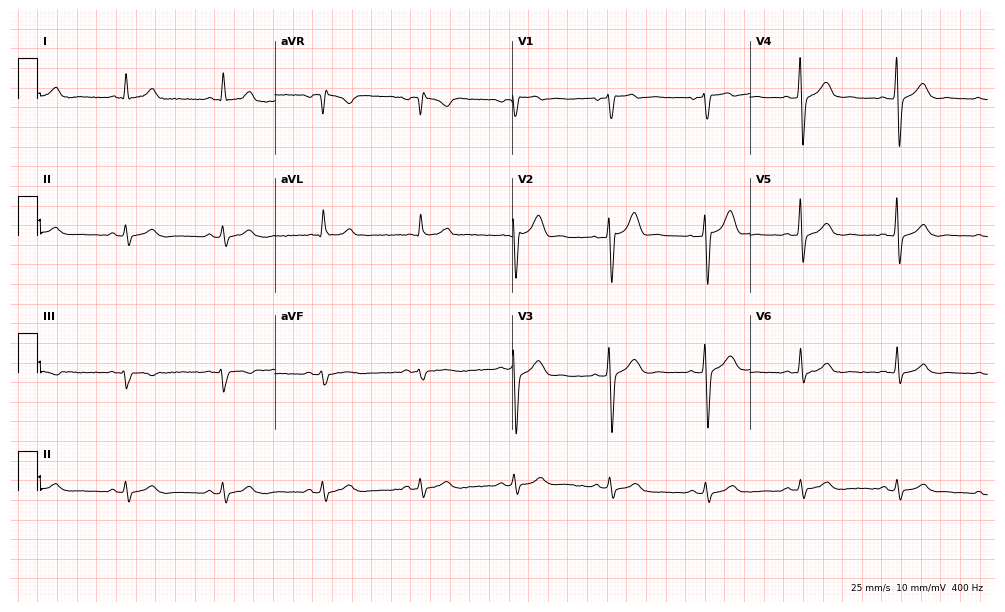
Electrocardiogram, a male patient, 47 years old. Overall reading on record: normal ECG.